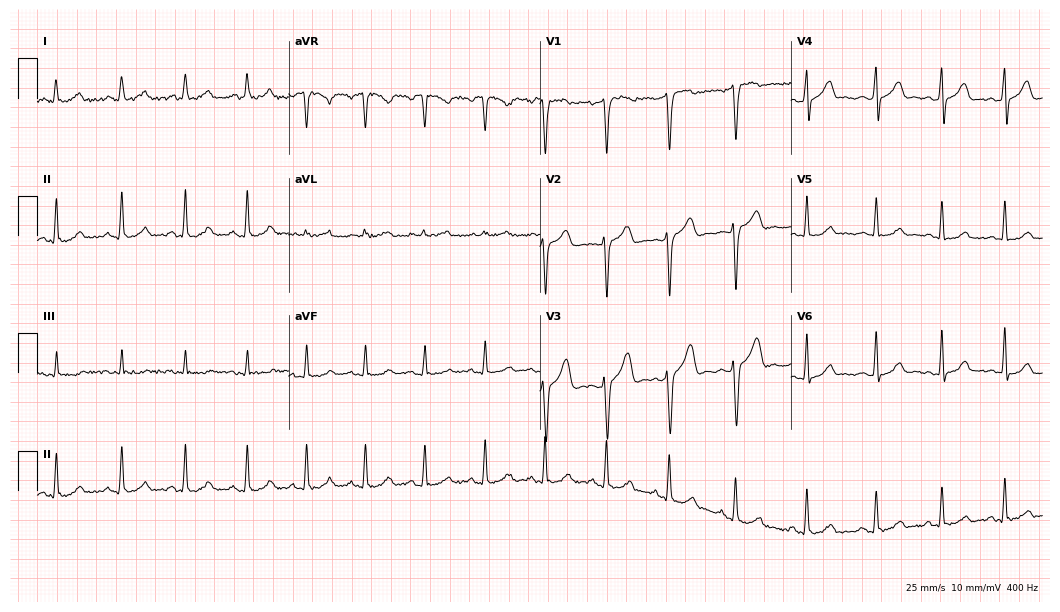
Electrocardiogram, a male, 30 years old. Overall reading on record: normal ECG.